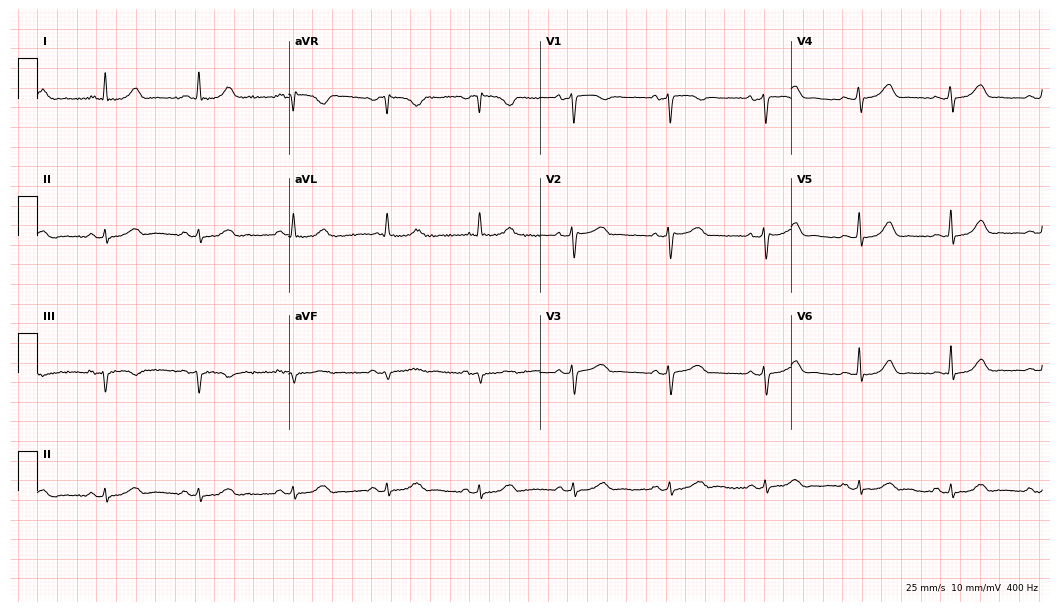
ECG (10.2-second recording at 400 Hz) — a woman, 74 years old. Screened for six findings — first-degree AV block, right bundle branch block (RBBB), left bundle branch block (LBBB), sinus bradycardia, atrial fibrillation (AF), sinus tachycardia — none is recorded. Only these six findings were labelled.